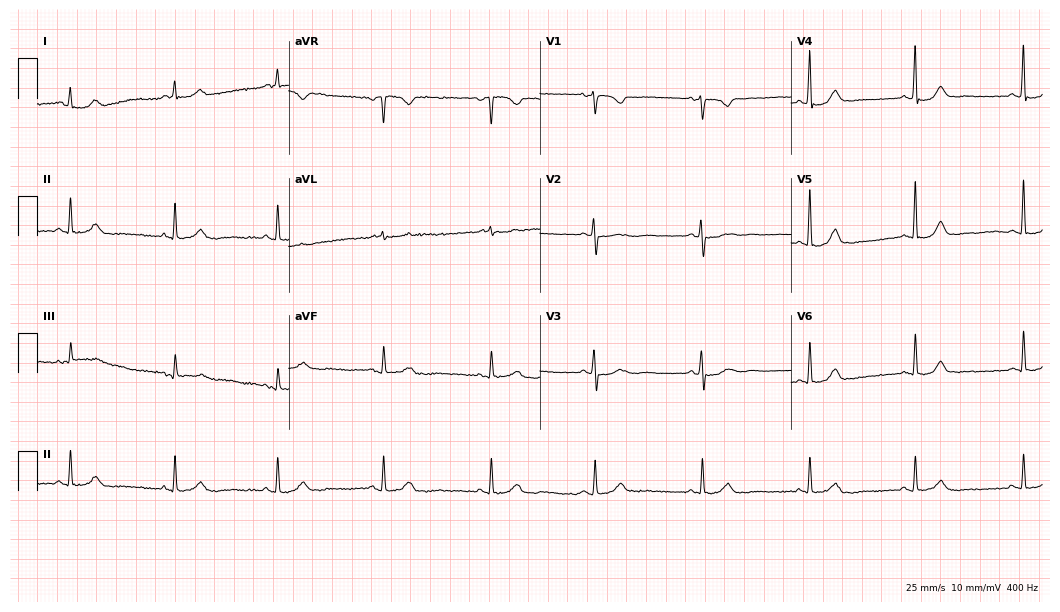
ECG — a woman, 46 years old. Labelled as a normal ECG.